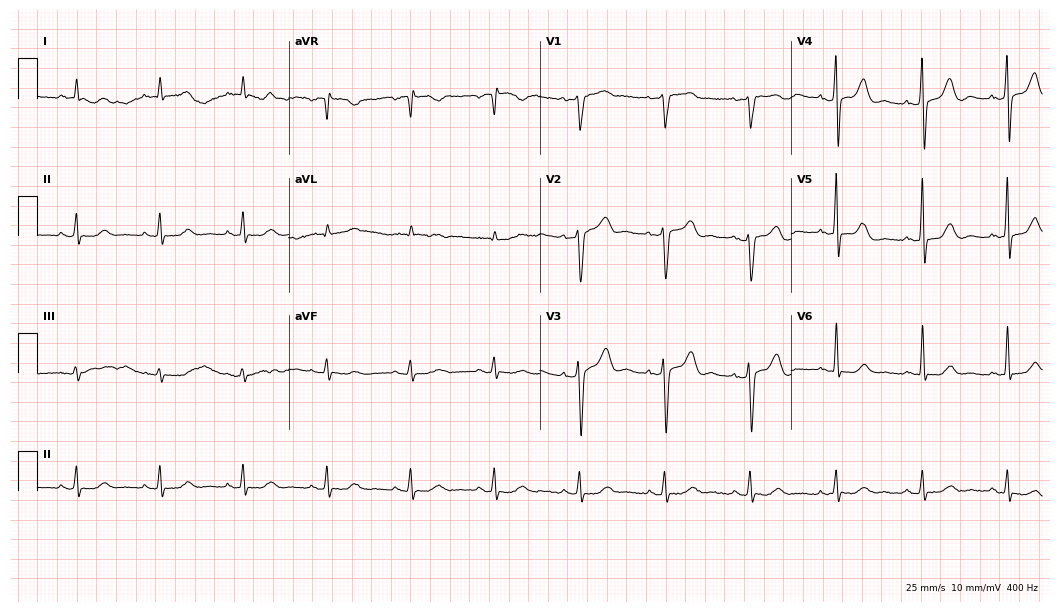
ECG — a male patient, 70 years old. Labelled as a normal ECG.